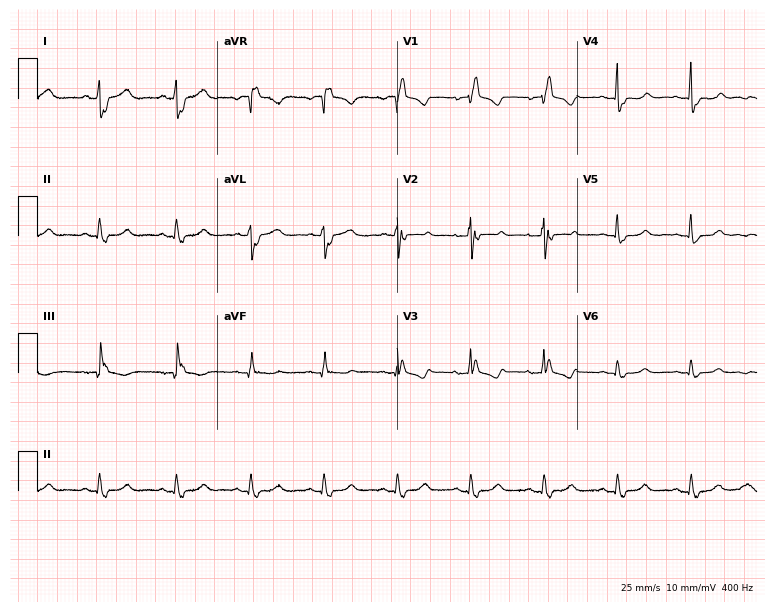
ECG (7.3-second recording at 400 Hz) — a 54-year-old woman. Findings include right bundle branch block.